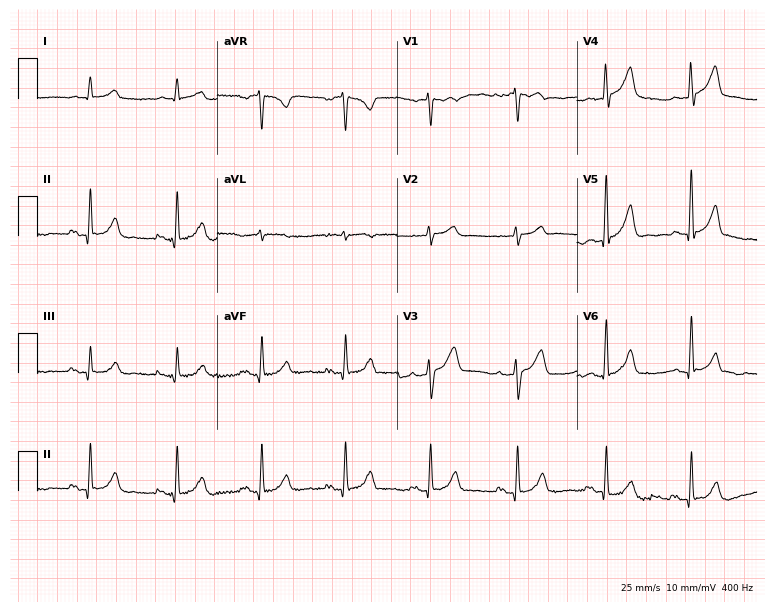
ECG (7.3-second recording at 400 Hz) — a 56-year-old male. Screened for six findings — first-degree AV block, right bundle branch block (RBBB), left bundle branch block (LBBB), sinus bradycardia, atrial fibrillation (AF), sinus tachycardia — none is recorded.